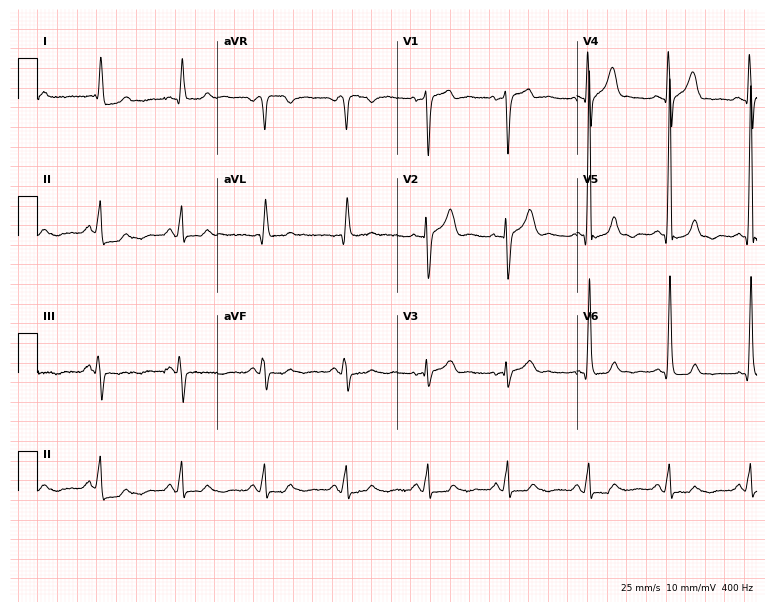
Resting 12-lead electrocardiogram (7.3-second recording at 400 Hz). Patient: a male, 75 years old. Read as a normal ECG.